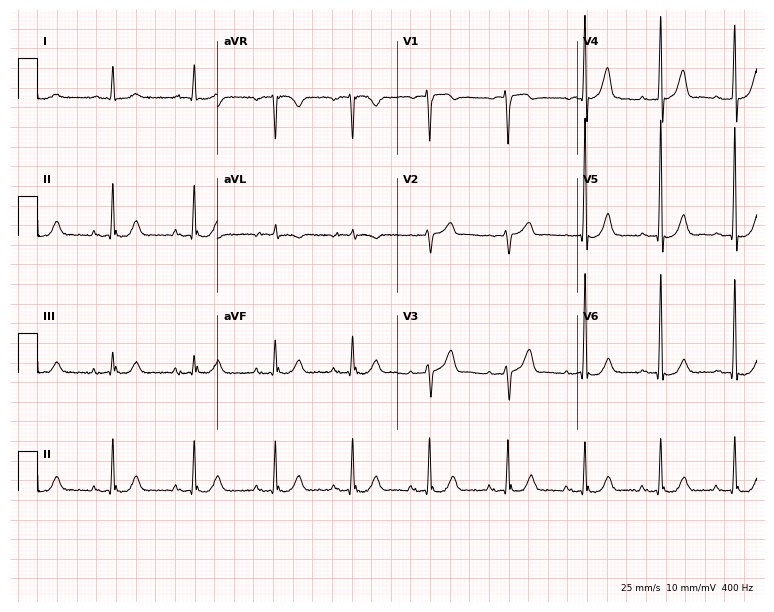
Resting 12-lead electrocardiogram. Patient: a male, 73 years old. None of these six findings is recorded: first-degree AV block, right bundle branch block, left bundle branch block, sinus bradycardia, atrial fibrillation, sinus tachycardia. Findings outside these six are not listed.